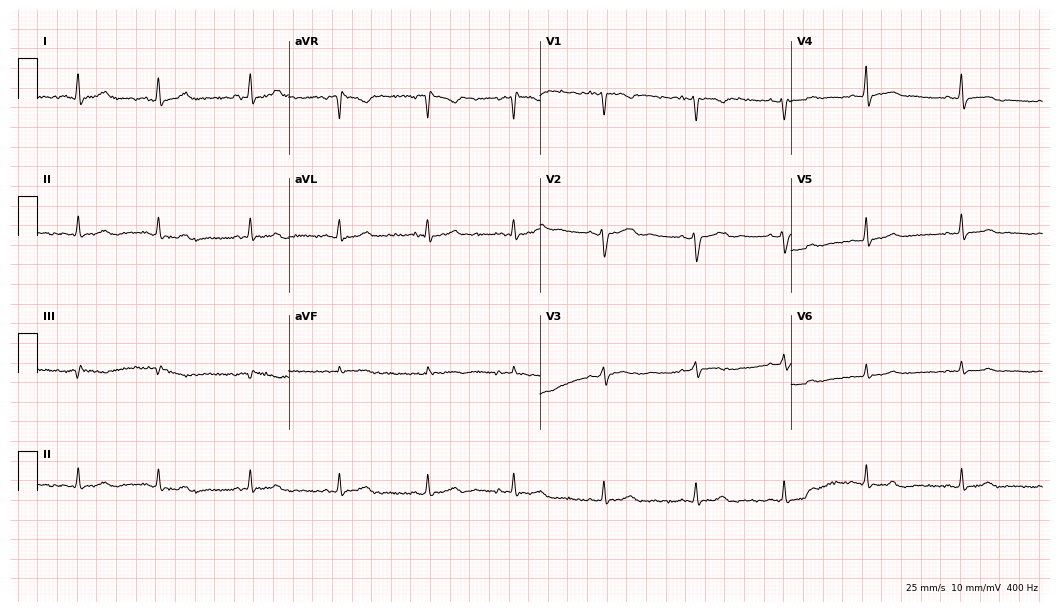
Electrocardiogram, a woman, 35 years old. Of the six screened findings (first-degree AV block, right bundle branch block (RBBB), left bundle branch block (LBBB), sinus bradycardia, atrial fibrillation (AF), sinus tachycardia), none is recorded.